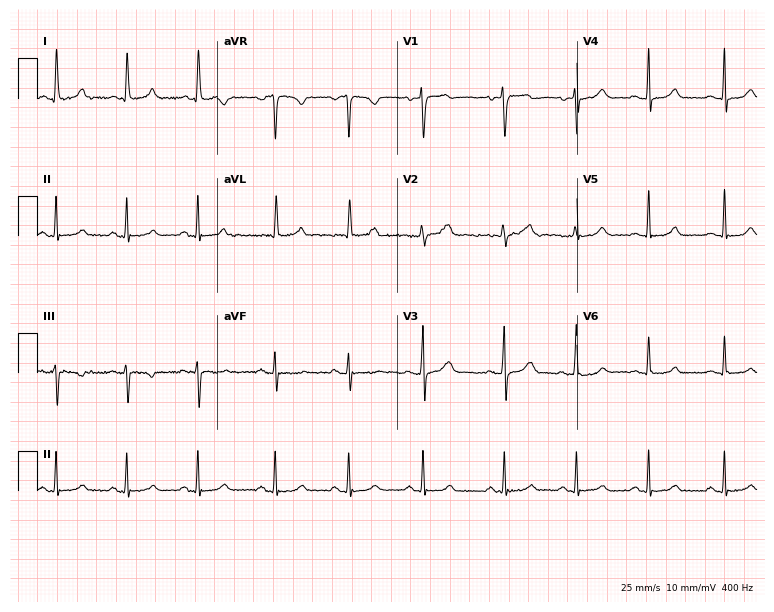
Resting 12-lead electrocardiogram. Patient: a 26-year-old female. None of these six findings is recorded: first-degree AV block, right bundle branch block (RBBB), left bundle branch block (LBBB), sinus bradycardia, atrial fibrillation (AF), sinus tachycardia.